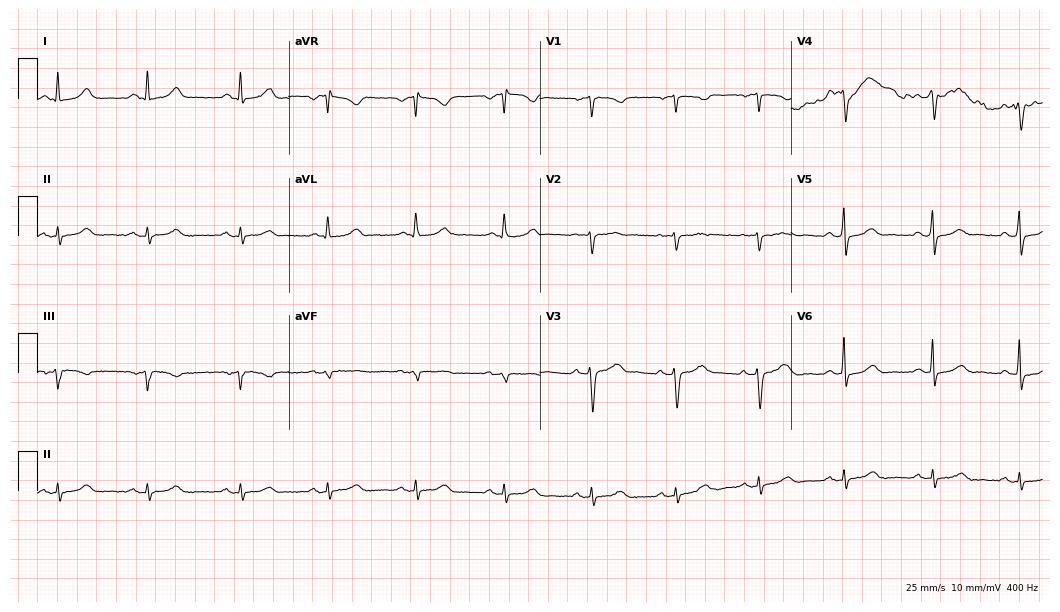
ECG — a 33-year-old woman. Labelled as a normal ECG.